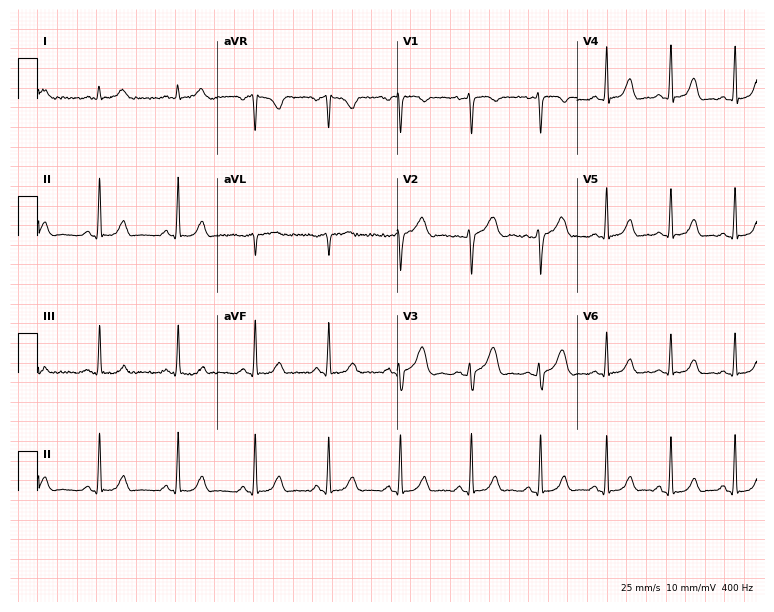
12-lead ECG (7.3-second recording at 400 Hz) from a female, 34 years old. Labelled as a normal ECG.